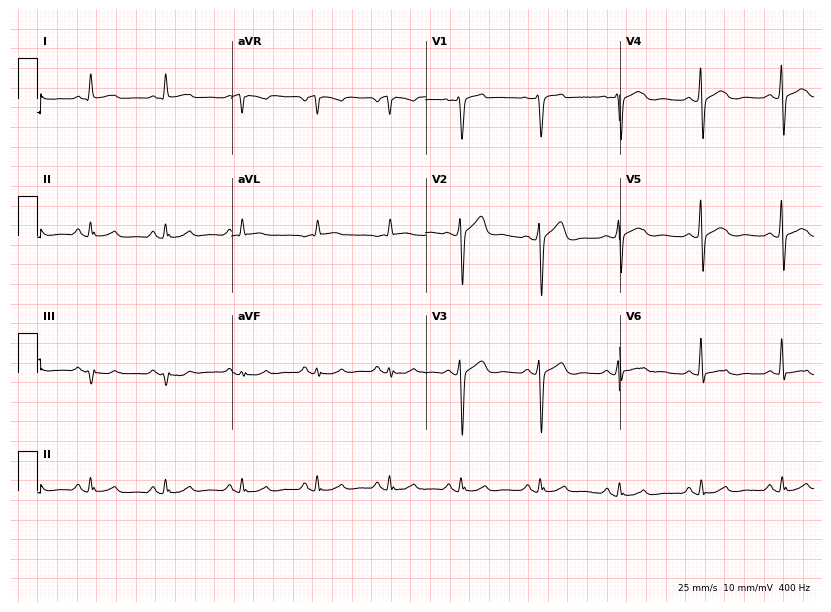
ECG (7.9-second recording at 400 Hz) — a man, 50 years old. Labelled as a normal ECG.